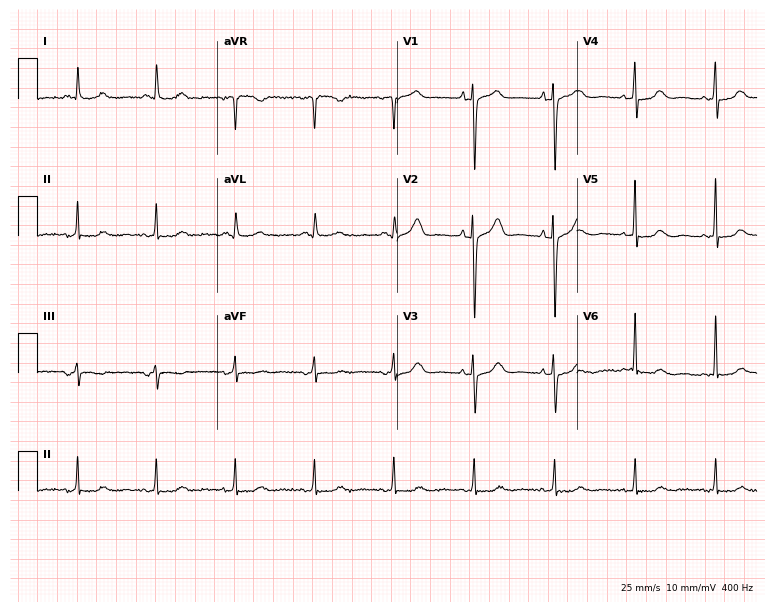
Electrocardiogram (7.3-second recording at 400 Hz), an 83-year-old woman. Overall reading on record: normal ECG.